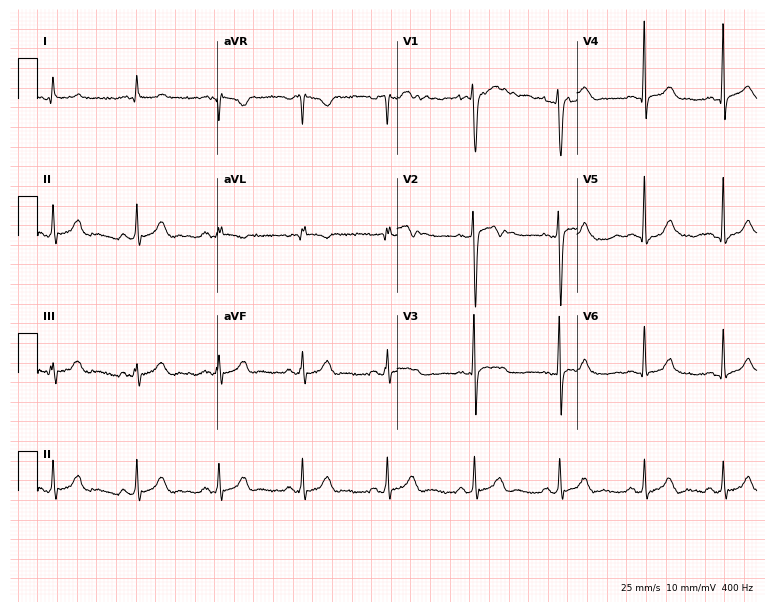
Resting 12-lead electrocardiogram (7.3-second recording at 400 Hz). Patient: a 23-year-old male. None of these six findings is recorded: first-degree AV block, right bundle branch block, left bundle branch block, sinus bradycardia, atrial fibrillation, sinus tachycardia.